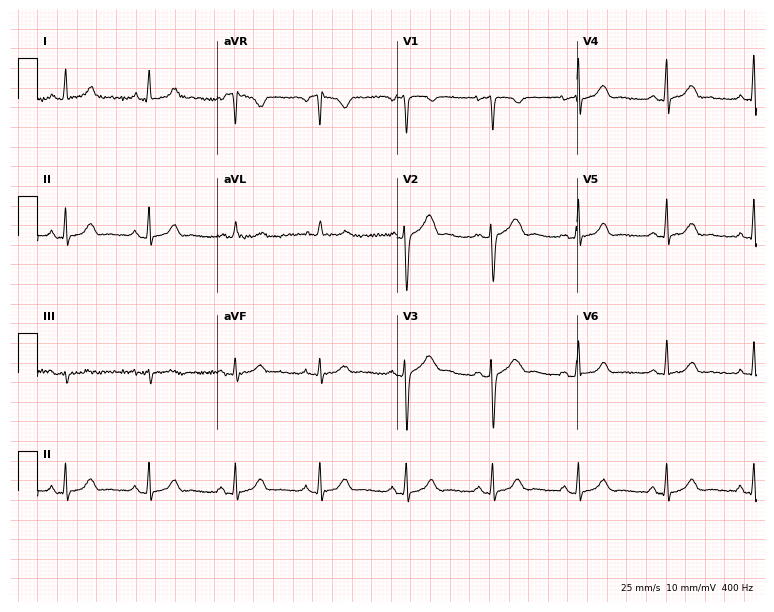
Standard 12-lead ECG recorded from a 29-year-old female patient. Read as a normal ECG.